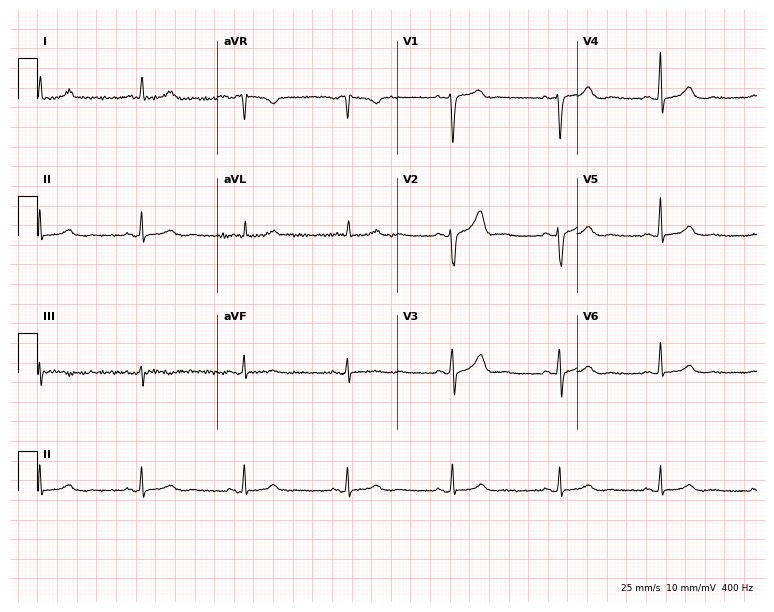
Resting 12-lead electrocardiogram (7.3-second recording at 400 Hz). Patient: a 64-year-old woman. Read as a normal ECG.